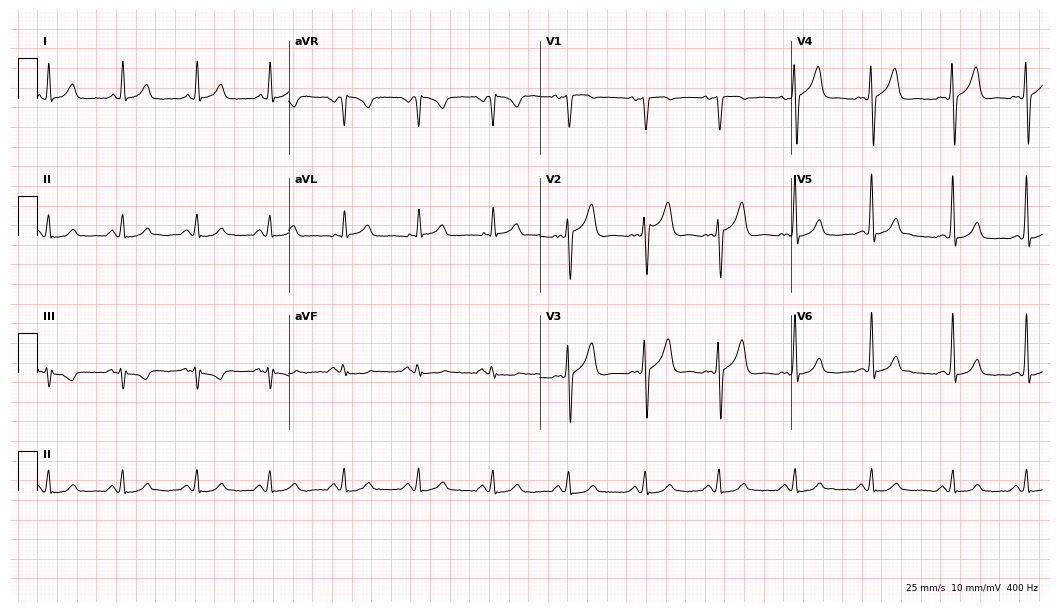
Electrocardiogram, a 57-year-old male. Overall reading on record: normal ECG.